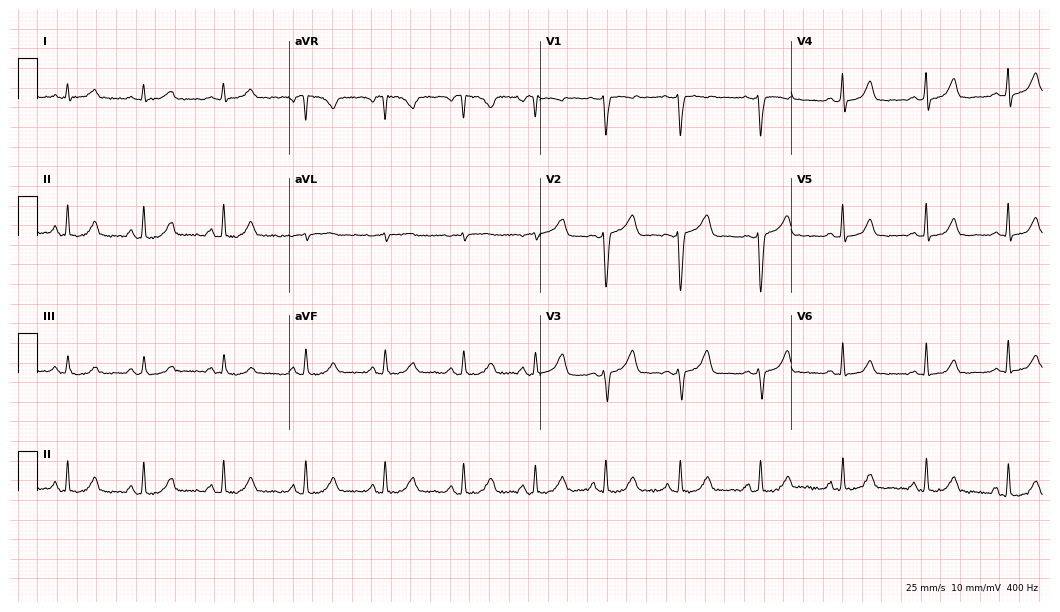
Resting 12-lead electrocardiogram (10.2-second recording at 400 Hz). Patient: a 49-year-old female. Read as a normal ECG.